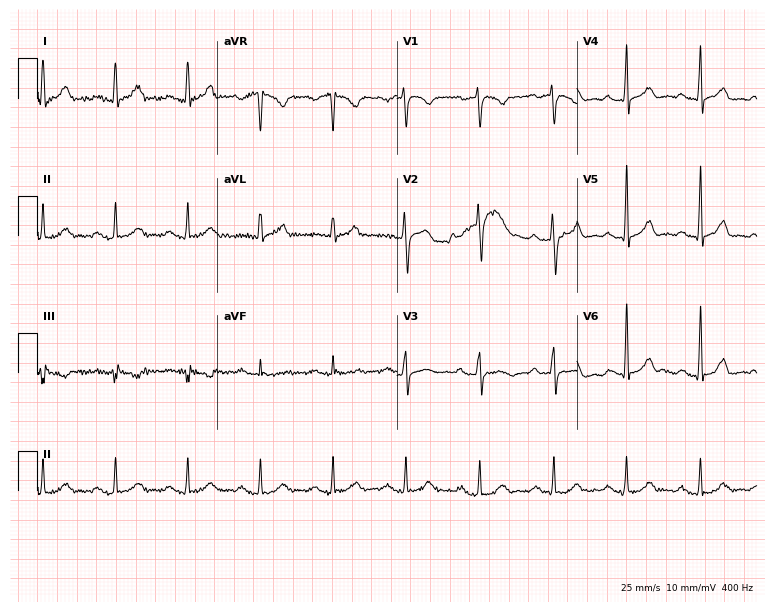
12-lead ECG from a male patient, 47 years old (7.3-second recording at 400 Hz). Recorded interpretation: within normal limits.